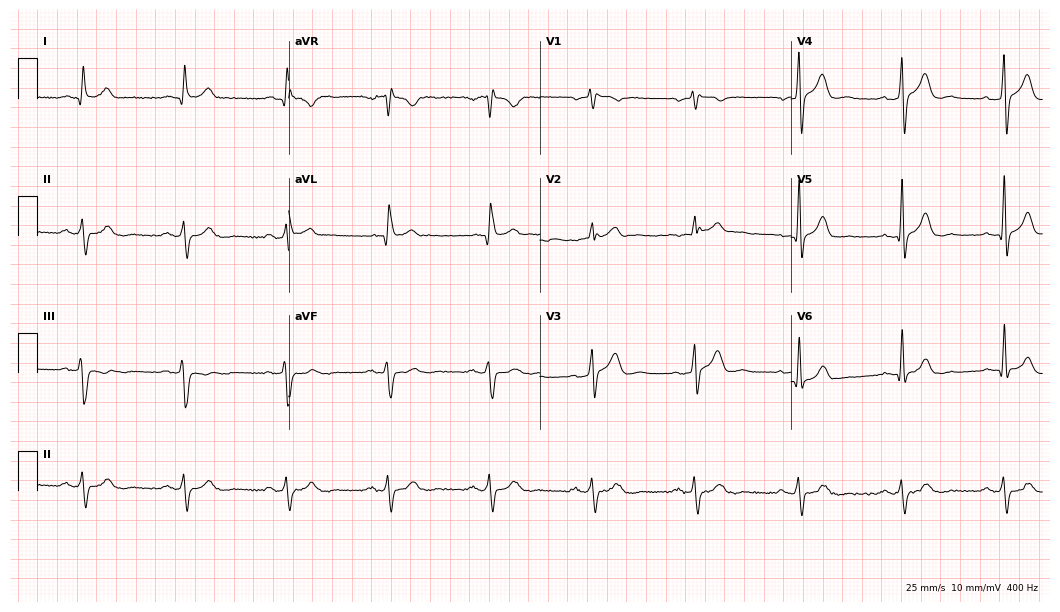
Electrocardiogram (10.2-second recording at 400 Hz), a man, 67 years old. Of the six screened findings (first-degree AV block, right bundle branch block, left bundle branch block, sinus bradycardia, atrial fibrillation, sinus tachycardia), none is recorded.